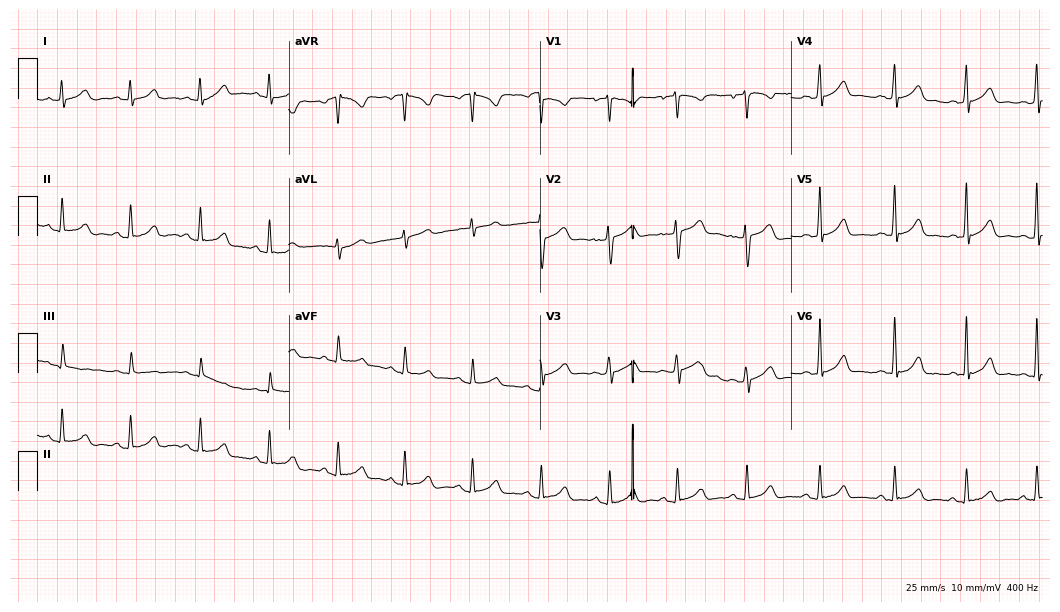
Electrocardiogram, a female patient, 25 years old. Overall reading on record: normal ECG.